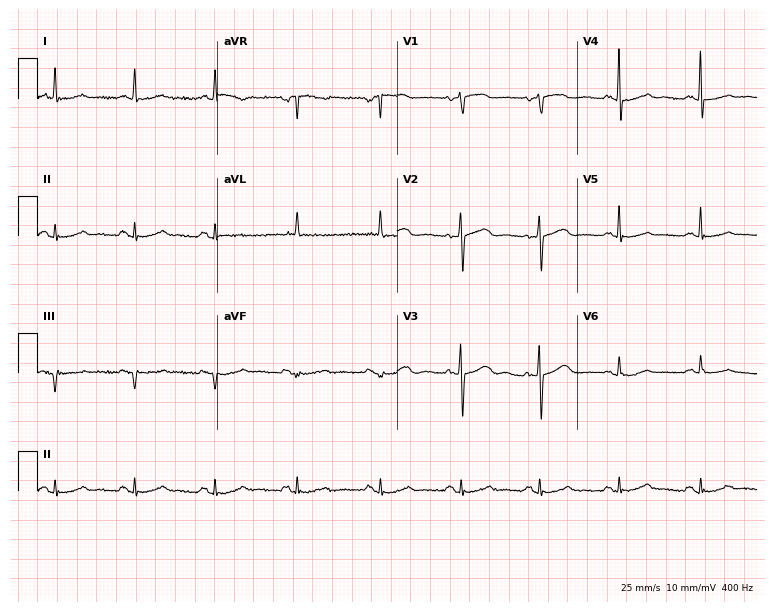
Resting 12-lead electrocardiogram (7.3-second recording at 400 Hz). Patient: an 85-year-old woman. None of these six findings is recorded: first-degree AV block, right bundle branch block, left bundle branch block, sinus bradycardia, atrial fibrillation, sinus tachycardia.